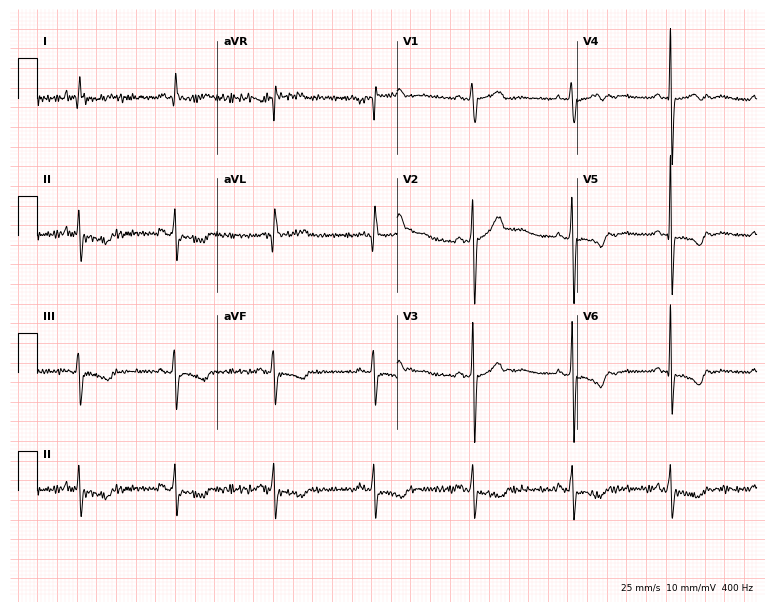
ECG (7.3-second recording at 400 Hz) — a man, 63 years old. Screened for six findings — first-degree AV block, right bundle branch block (RBBB), left bundle branch block (LBBB), sinus bradycardia, atrial fibrillation (AF), sinus tachycardia — none is recorded.